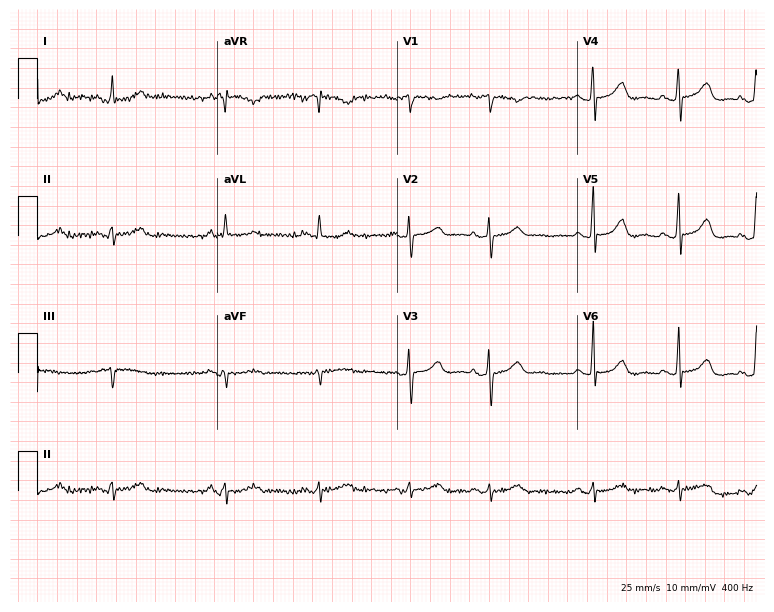
Electrocardiogram (7.3-second recording at 400 Hz), a female patient, 57 years old. Overall reading on record: normal ECG.